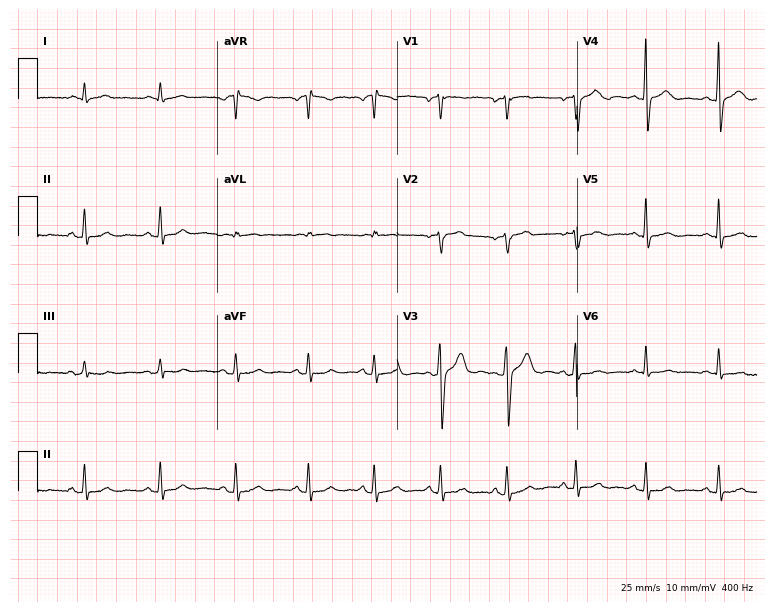
Standard 12-lead ECG recorded from a male patient, 66 years old (7.3-second recording at 400 Hz). None of these six findings is recorded: first-degree AV block, right bundle branch block (RBBB), left bundle branch block (LBBB), sinus bradycardia, atrial fibrillation (AF), sinus tachycardia. Only these six findings were labelled.